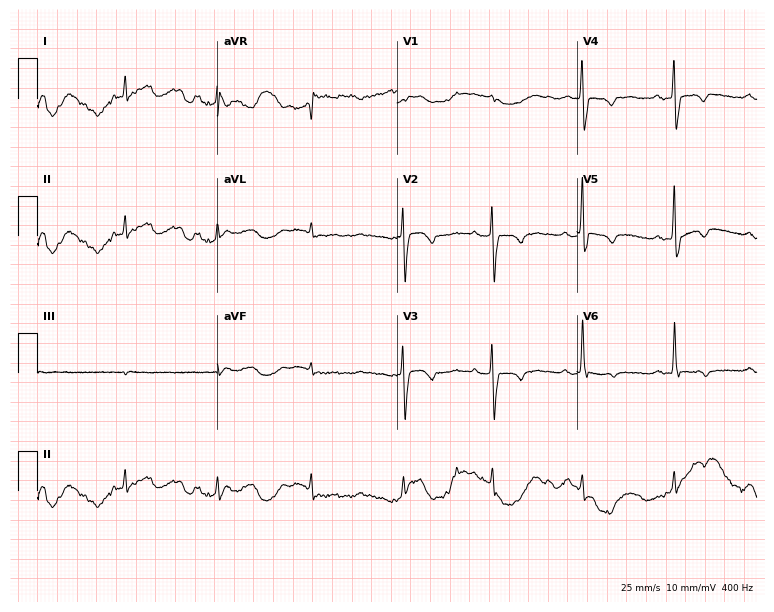
ECG (7.3-second recording at 400 Hz) — a female patient, 65 years old. Screened for six findings — first-degree AV block, right bundle branch block (RBBB), left bundle branch block (LBBB), sinus bradycardia, atrial fibrillation (AF), sinus tachycardia — none is recorded.